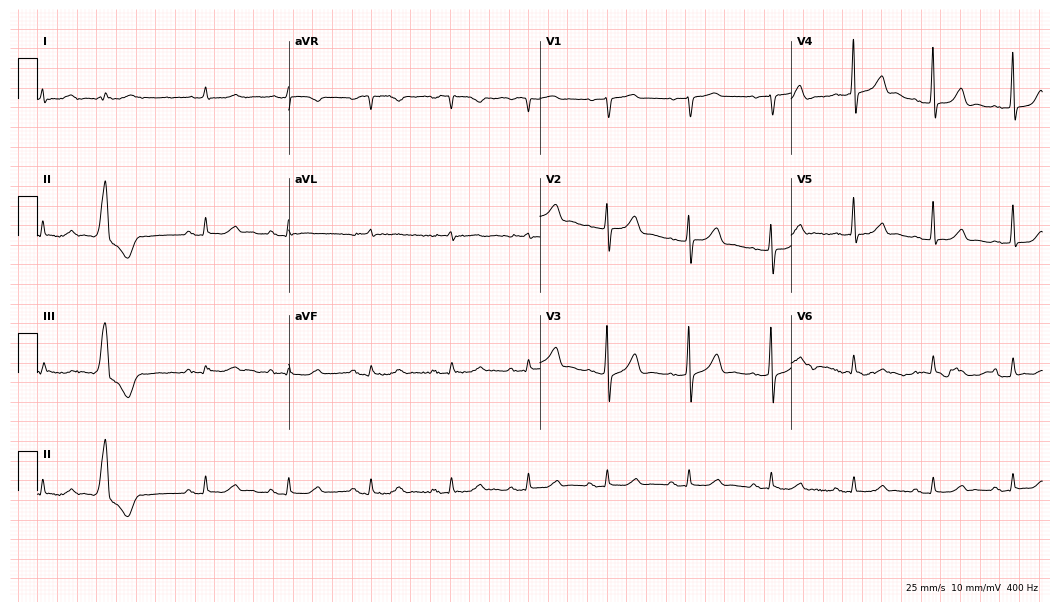
Resting 12-lead electrocardiogram. Patient: a 73-year-old female. None of these six findings is recorded: first-degree AV block, right bundle branch block, left bundle branch block, sinus bradycardia, atrial fibrillation, sinus tachycardia. Findings outside these six are not listed.